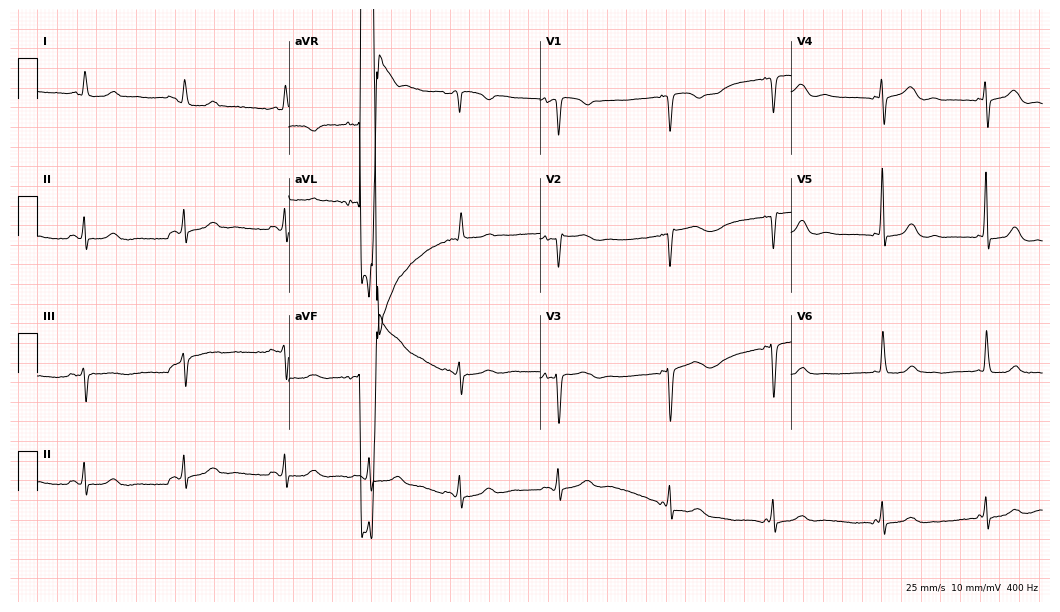
ECG — a female, 67 years old. Screened for six findings — first-degree AV block, right bundle branch block, left bundle branch block, sinus bradycardia, atrial fibrillation, sinus tachycardia — none is recorded.